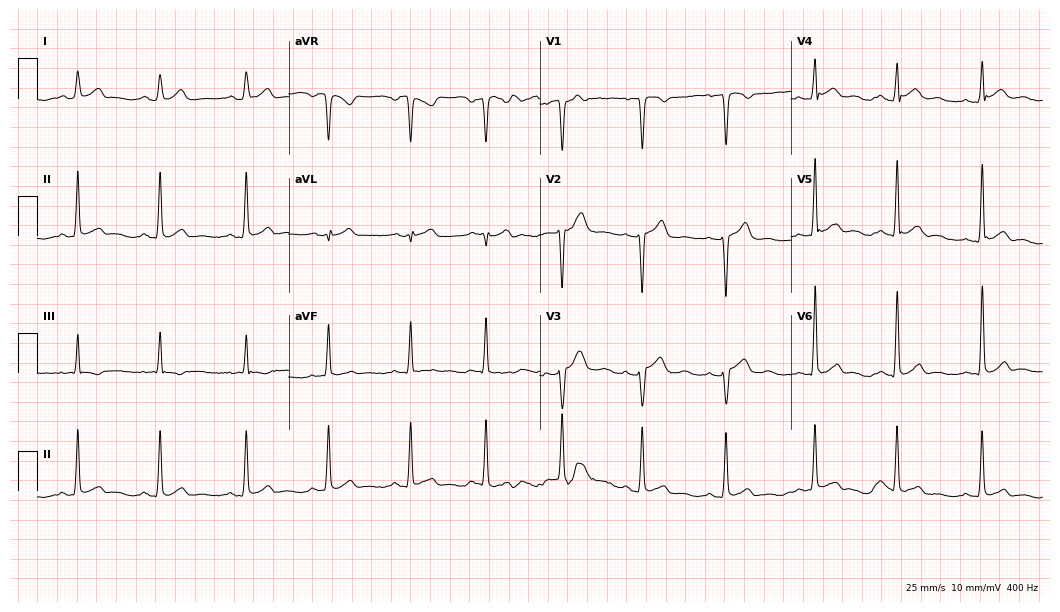
12-lead ECG from a male patient, 21 years old. Screened for six findings — first-degree AV block, right bundle branch block (RBBB), left bundle branch block (LBBB), sinus bradycardia, atrial fibrillation (AF), sinus tachycardia — none is recorded.